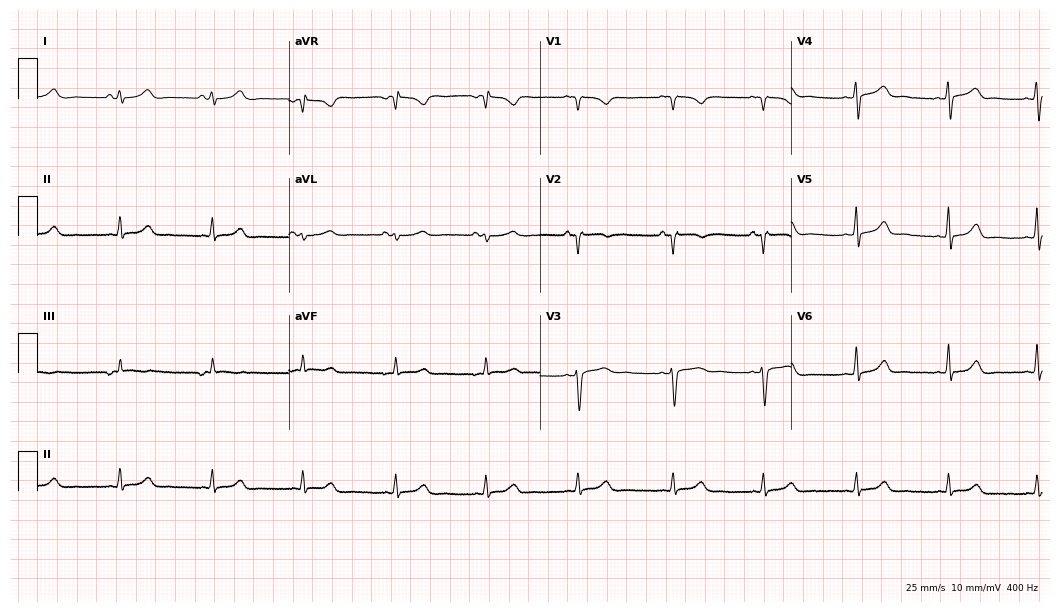
12-lead ECG (10.2-second recording at 400 Hz) from a woman, 20 years old. Screened for six findings — first-degree AV block, right bundle branch block, left bundle branch block, sinus bradycardia, atrial fibrillation, sinus tachycardia — none is recorded. Findings outside these six are not listed.